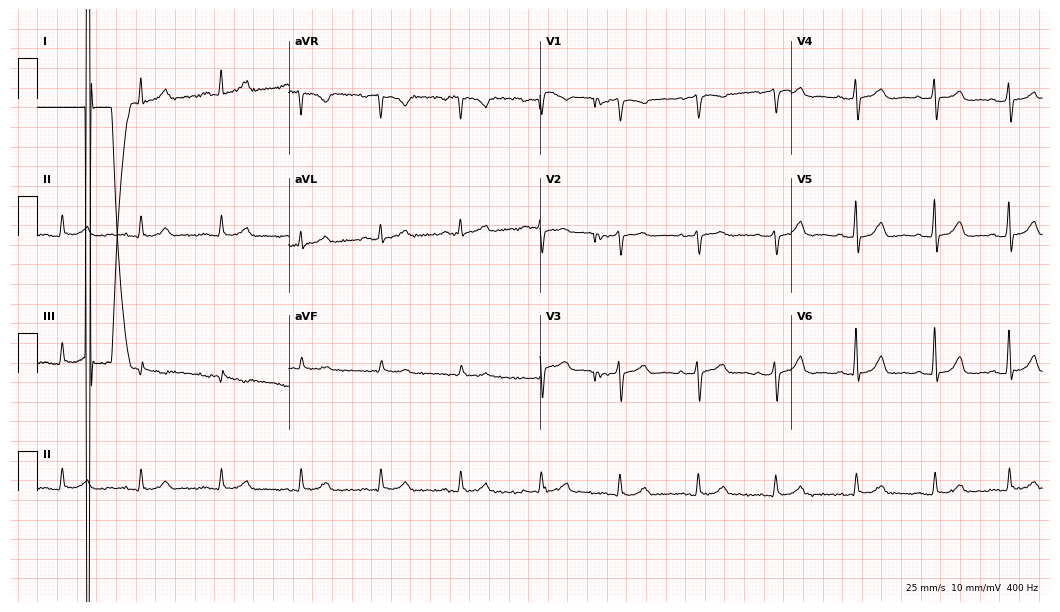
Standard 12-lead ECG recorded from a male, 64 years old. Read as a normal ECG.